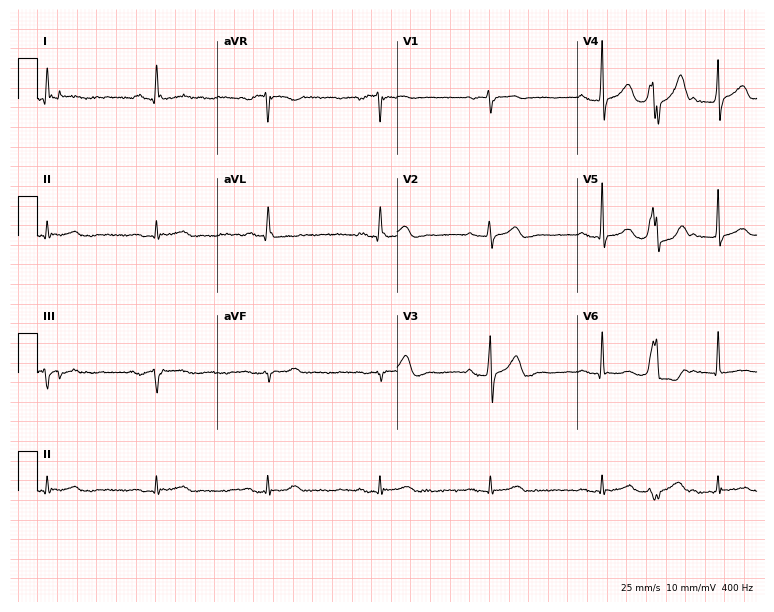
Resting 12-lead electrocardiogram (7.3-second recording at 400 Hz). Patient: a man, 67 years old. Read as a normal ECG.